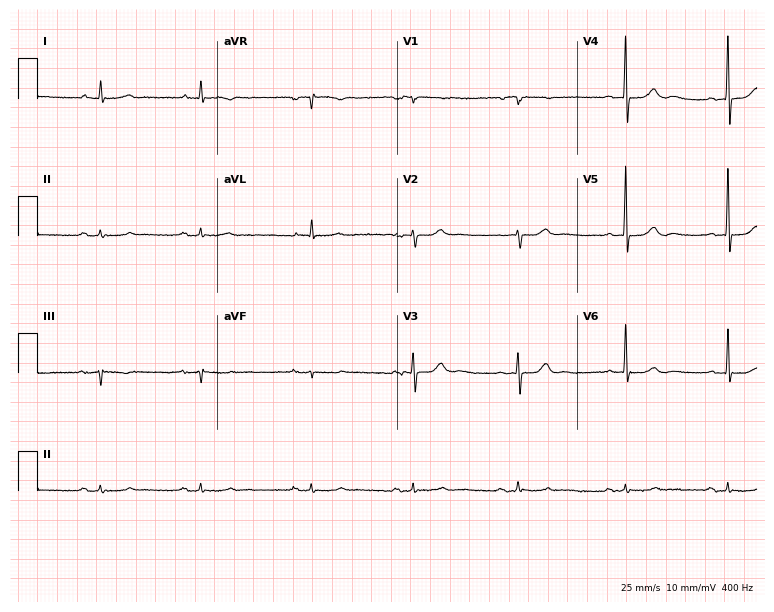
Standard 12-lead ECG recorded from a man, 86 years old. None of these six findings is recorded: first-degree AV block, right bundle branch block (RBBB), left bundle branch block (LBBB), sinus bradycardia, atrial fibrillation (AF), sinus tachycardia. Findings outside these six are not listed.